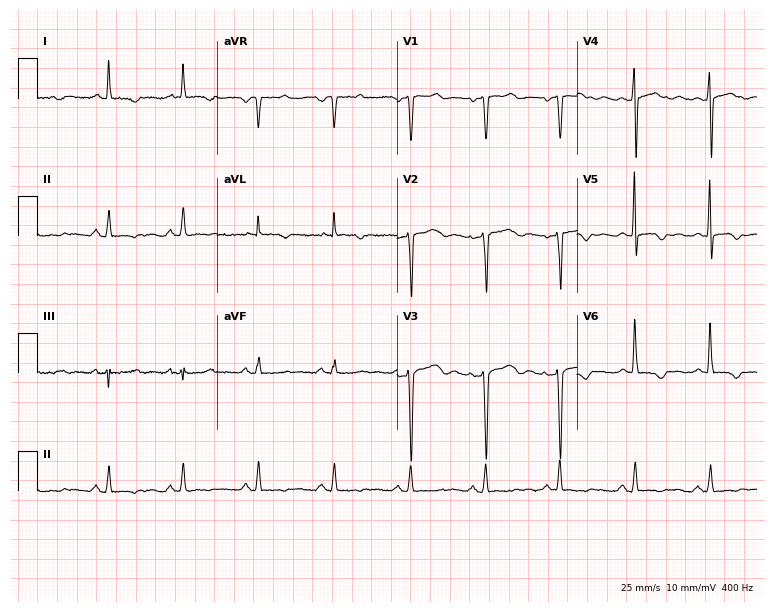
Standard 12-lead ECG recorded from a woman, 49 years old. None of these six findings is recorded: first-degree AV block, right bundle branch block (RBBB), left bundle branch block (LBBB), sinus bradycardia, atrial fibrillation (AF), sinus tachycardia. Findings outside these six are not listed.